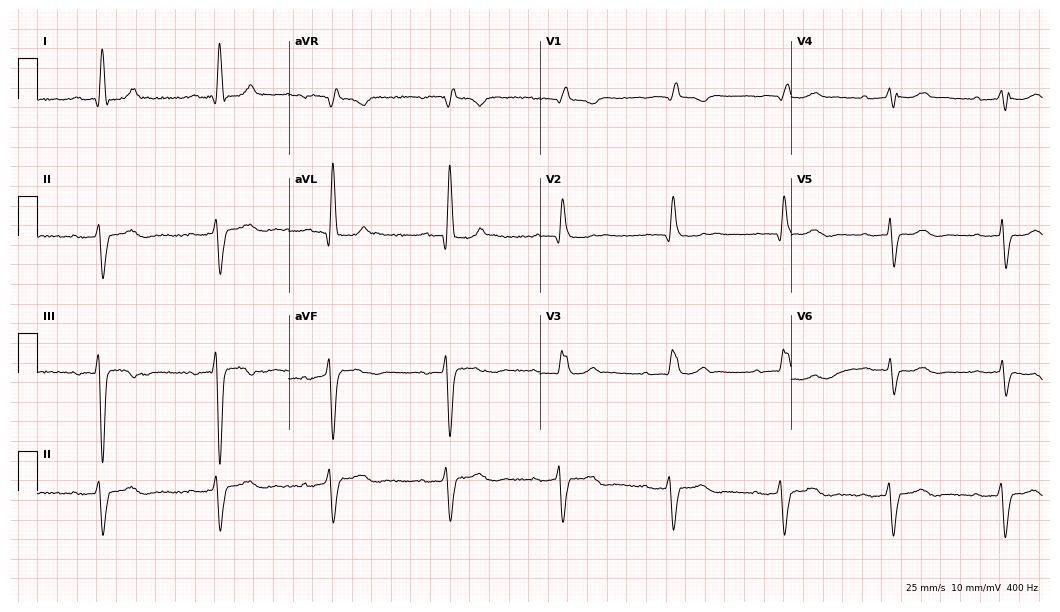
Resting 12-lead electrocardiogram. Patient: a female, 75 years old. The tracing shows first-degree AV block, right bundle branch block.